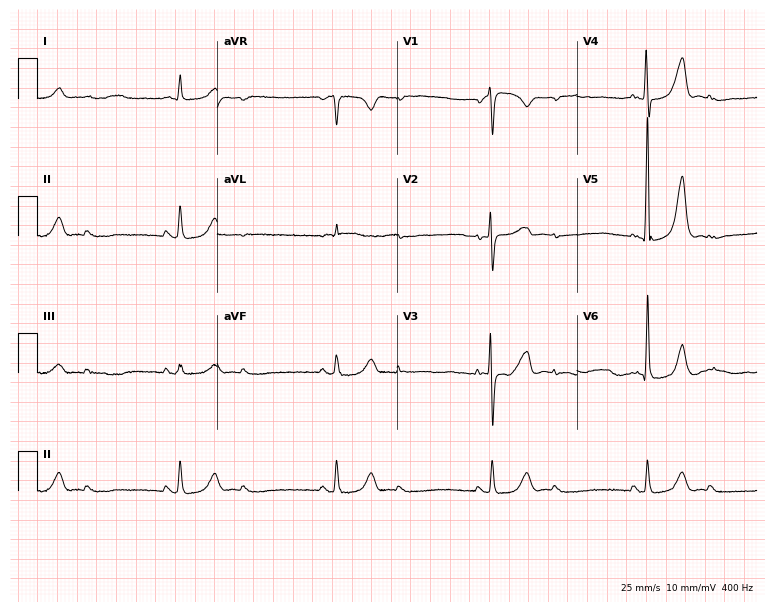
Resting 12-lead electrocardiogram. Patient: a male, 76 years old. None of these six findings is recorded: first-degree AV block, right bundle branch block, left bundle branch block, sinus bradycardia, atrial fibrillation, sinus tachycardia. Other findings, if any, are not listed.